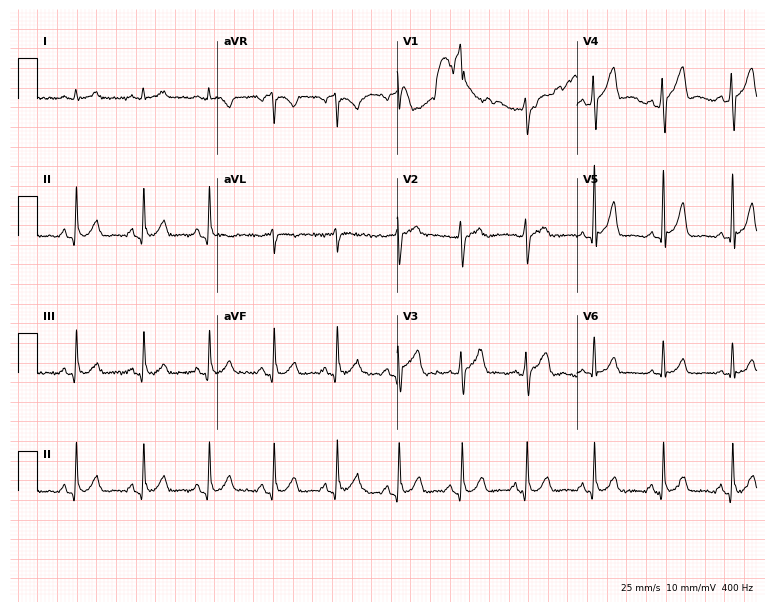
Standard 12-lead ECG recorded from a 55-year-old male patient (7.3-second recording at 400 Hz). None of these six findings is recorded: first-degree AV block, right bundle branch block, left bundle branch block, sinus bradycardia, atrial fibrillation, sinus tachycardia.